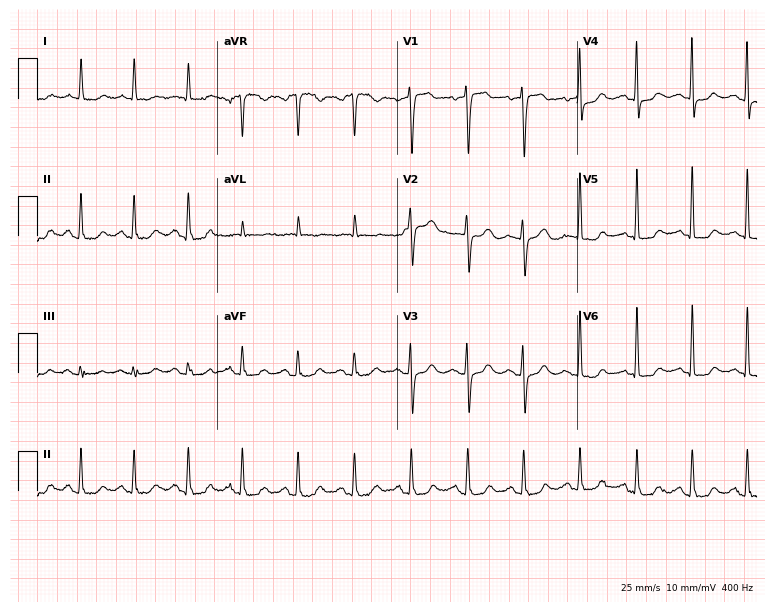
Standard 12-lead ECG recorded from a 67-year-old female patient. The tracing shows sinus tachycardia (a sinus rate of 100 beats per minute or more).